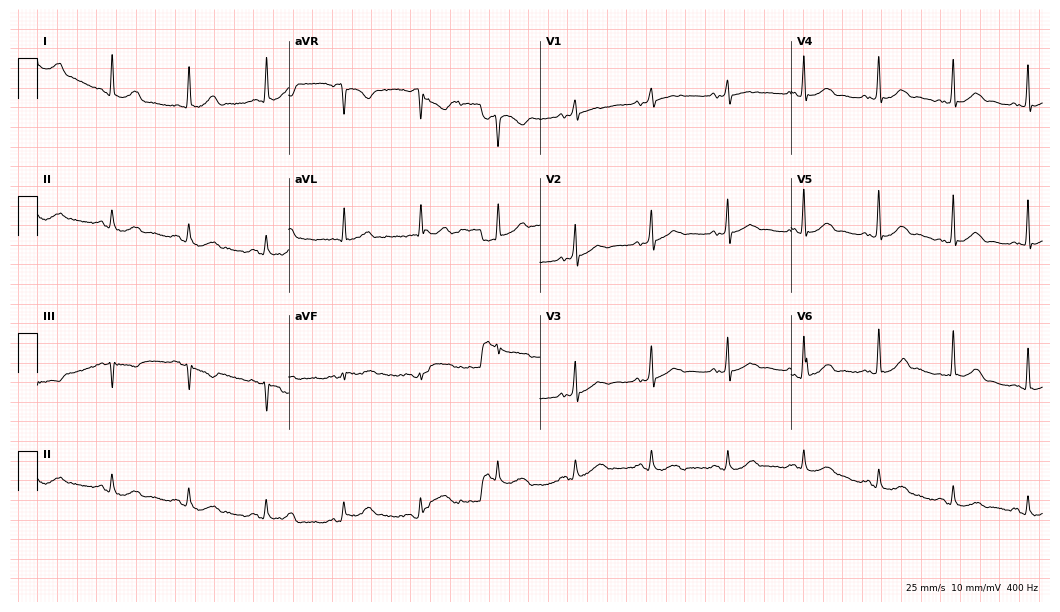
ECG — a male patient, 70 years old. Screened for six findings — first-degree AV block, right bundle branch block, left bundle branch block, sinus bradycardia, atrial fibrillation, sinus tachycardia — none is recorded.